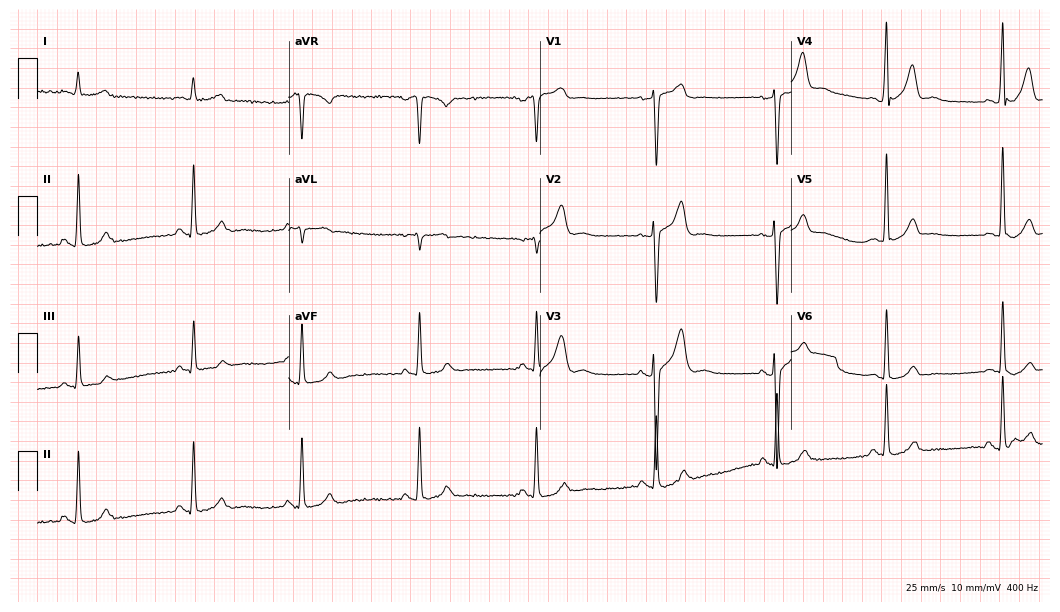
12-lead ECG from a 37-year-old man. Labelled as a normal ECG.